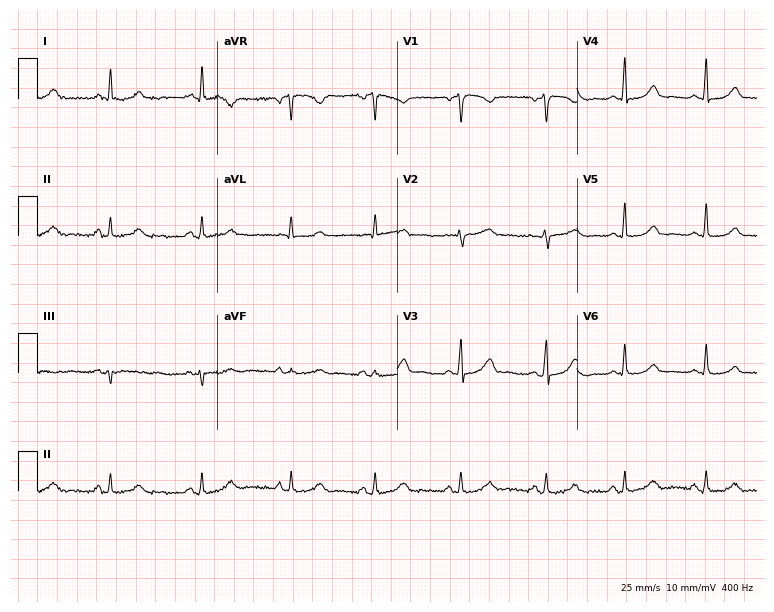
Standard 12-lead ECG recorded from a 47-year-old woman. Read as a normal ECG.